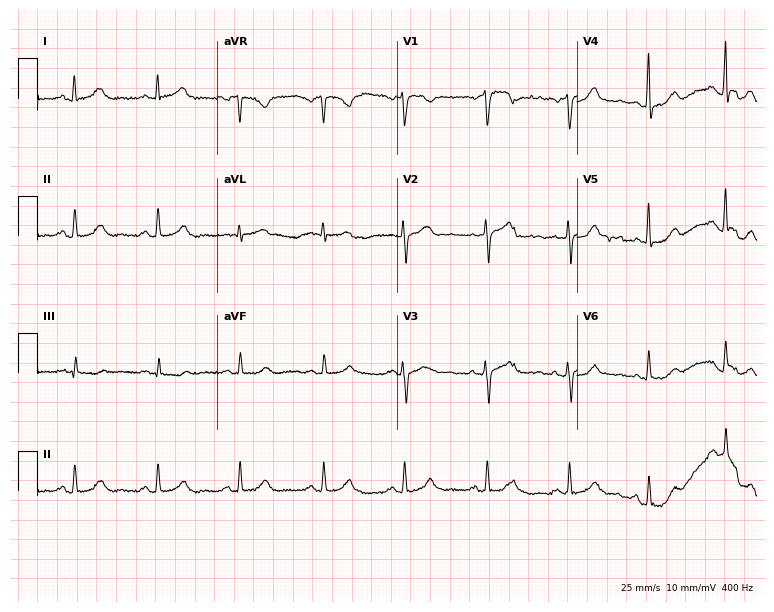
12-lead ECG (7.3-second recording at 400 Hz) from a woman, 45 years old. Labelled as a normal ECG.